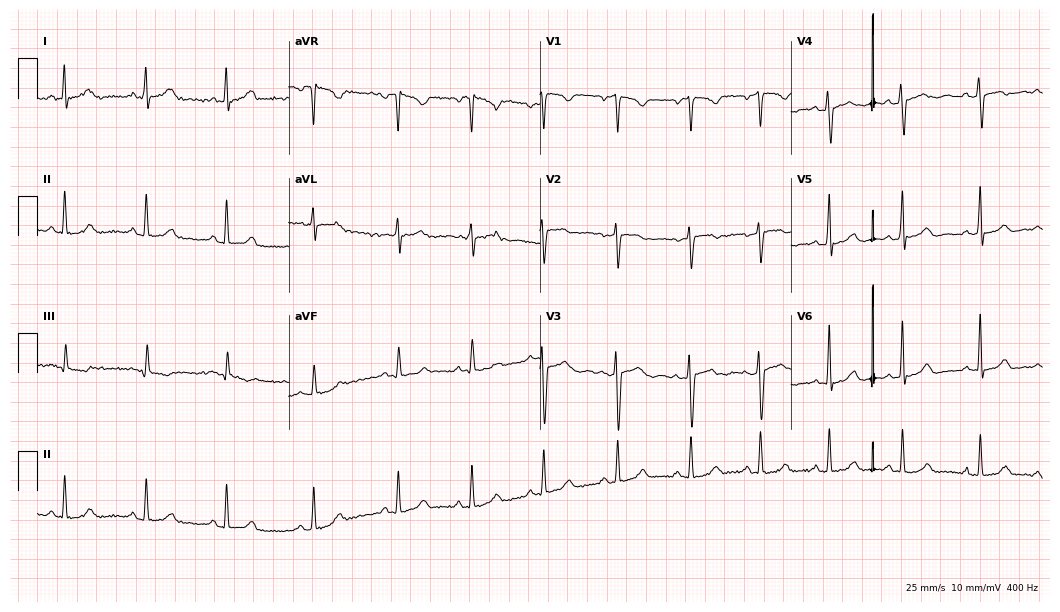
Resting 12-lead electrocardiogram. Patient: a female, 25 years old. None of these six findings is recorded: first-degree AV block, right bundle branch block, left bundle branch block, sinus bradycardia, atrial fibrillation, sinus tachycardia.